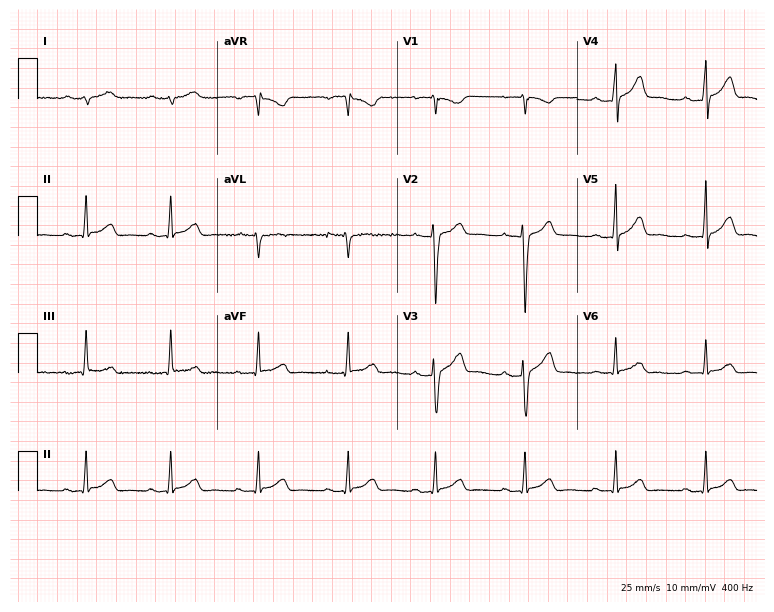
Electrocardiogram (7.3-second recording at 400 Hz), a 48-year-old female. Of the six screened findings (first-degree AV block, right bundle branch block, left bundle branch block, sinus bradycardia, atrial fibrillation, sinus tachycardia), none is recorded.